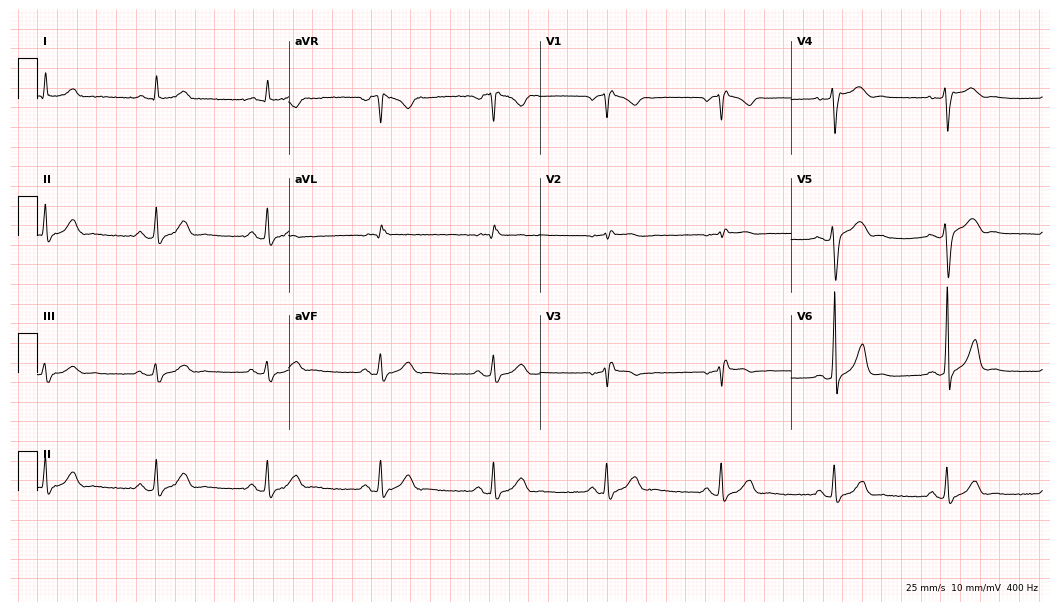
Electrocardiogram (10.2-second recording at 400 Hz), a male, 46 years old. Of the six screened findings (first-degree AV block, right bundle branch block (RBBB), left bundle branch block (LBBB), sinus bradycardia, atrial fibrillation (AF), sinus tachycardia), none is recorded.